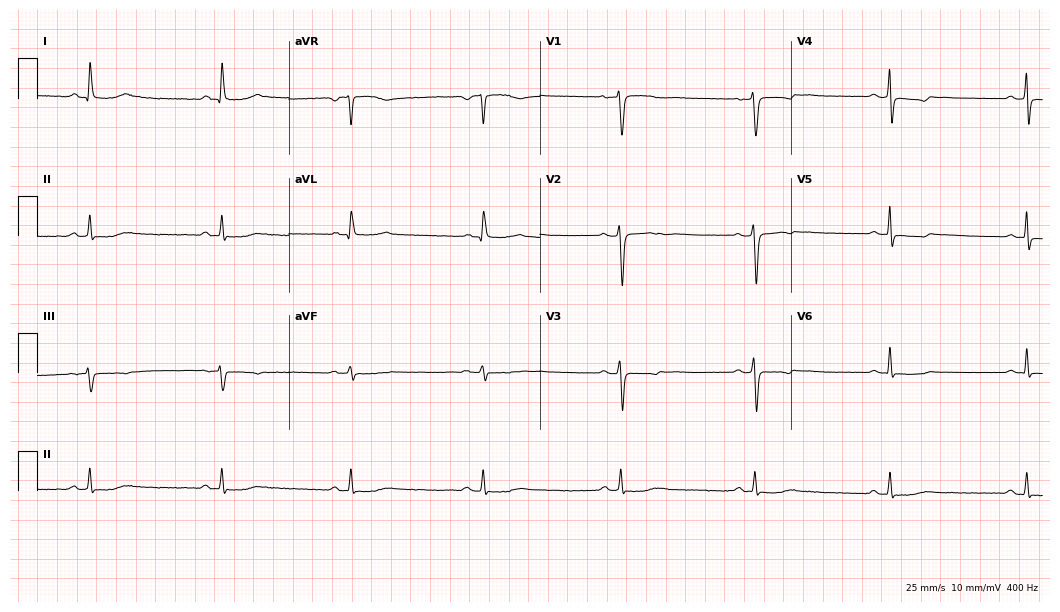
Resting 12-lead electrocardiogram (10.2-second recording at 400 Hz). Patient: a female, 63 years old. The tracing shows sinus bradycardia (a sinus rate of 50 beats per minute or less).